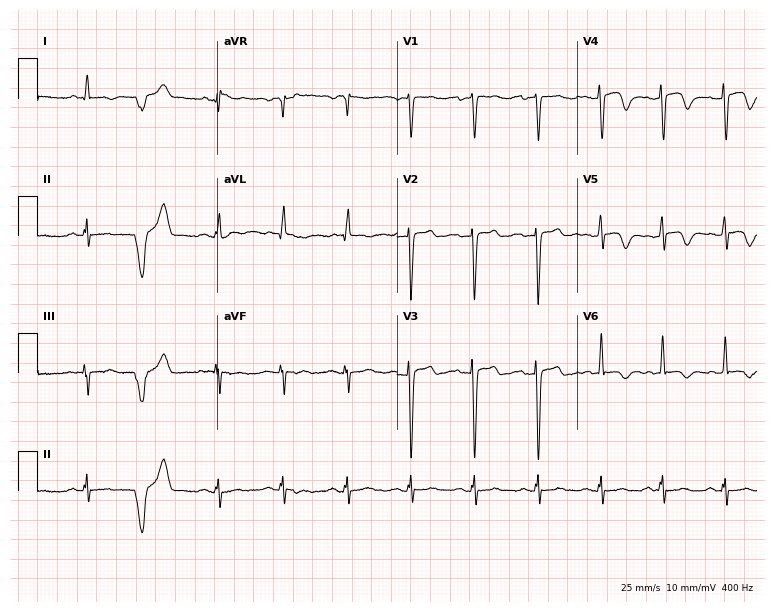
12-lead ECG from a 61-year-old female patient (7.3-second recording at 400 Hz). No first-degree AV block, right bundle branch block (RBBB), left bundle branch block (LBBB), sinus bradycardia, atrial fibrillation (AF) or sinus tachycardia recorded for this tracing. Other findings, if any, are not listed.